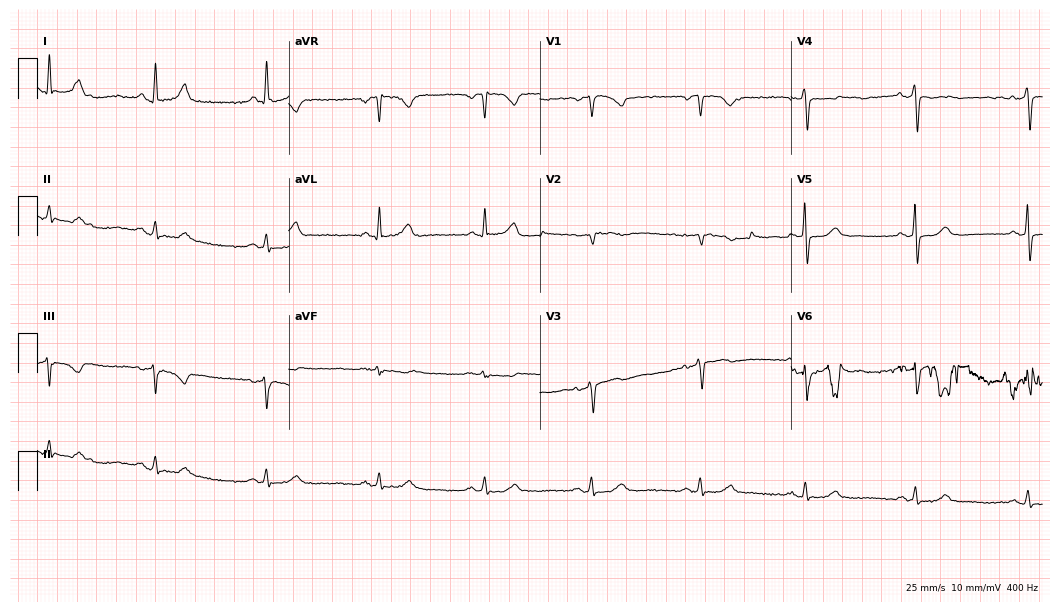
ECG — a 66-year-old woman. Labelled as a normal ECG.